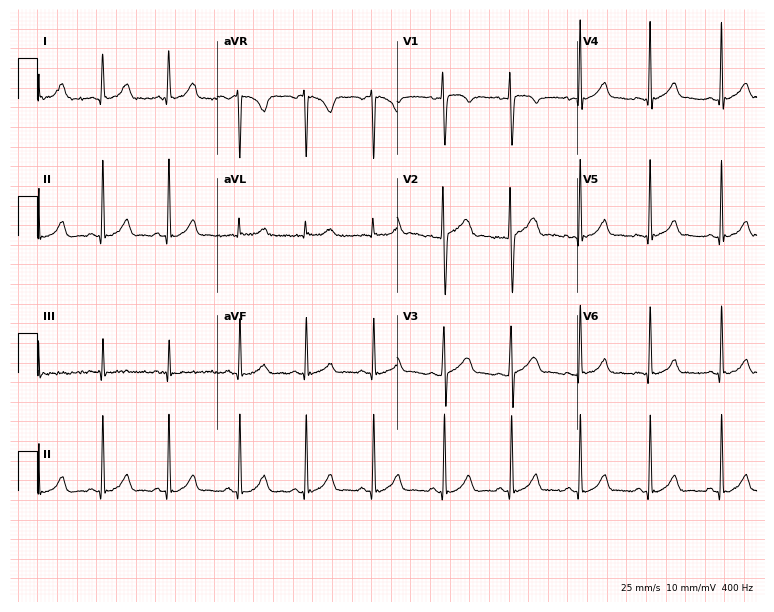
12-lead ECG from a female patient, 18 years old (7.3-second recording at 400 Hz). Recorded interpretation: within normal limits.